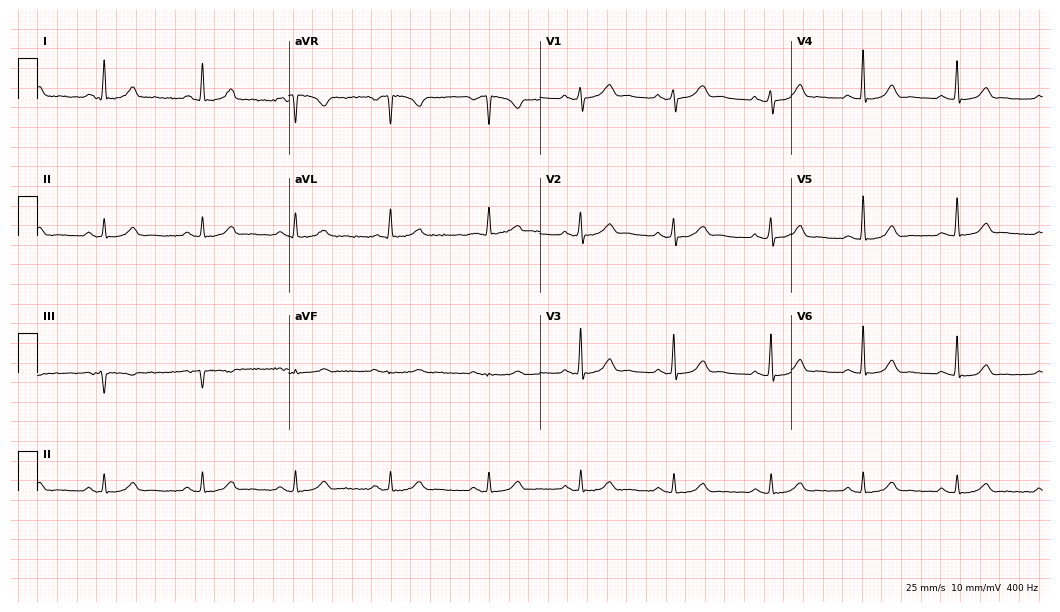
12-lead ECG (10.2-second recording at 400 Hz) from a female, 35 years old. Labelled as a normal ECG.